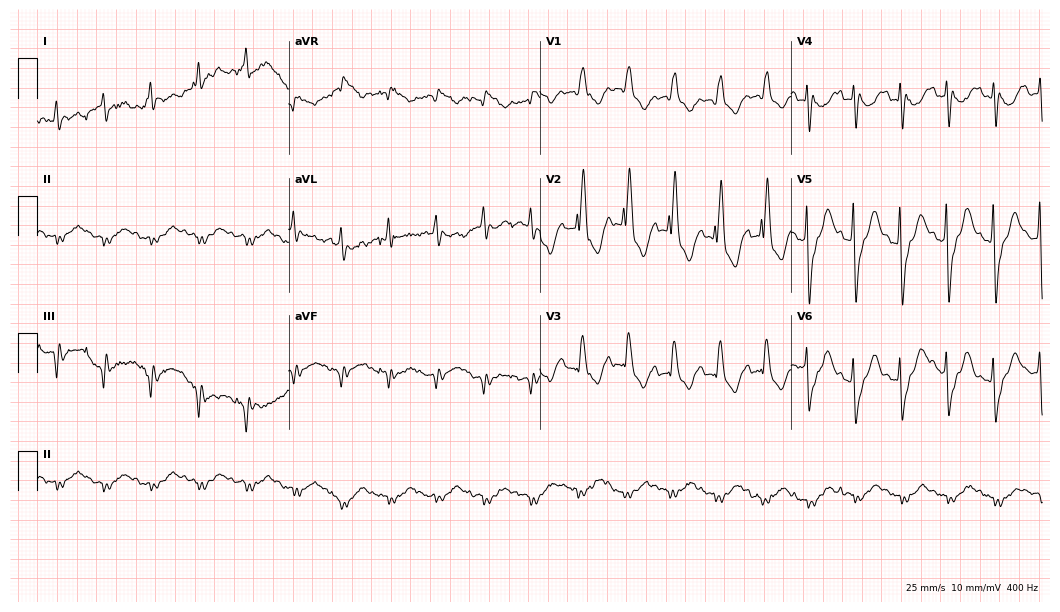
Resting 12-lead electrocardiogram (10.2-second recording at 400 Hz). Patient: an 84-year-old man. None of these six findings is recorded: first-degree AV block, right bundle branch block, left bundle branch block, sinus bradycardia, atrial fibrillation, sinus tachycardia. Other findings, if any, are not listed.